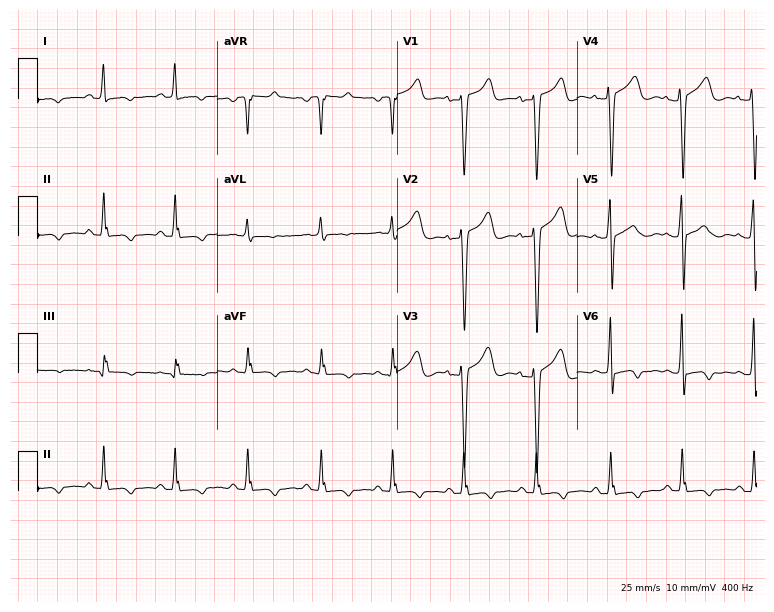
Standard 12-lead ECG recorded from a female, 43 years old (7.3-second recording at 400 Hz). None of these six findings is recorded: first-degree AV block, right bundle branch block, left bundle branch block, sinus bradycardia, atrial fibrillation, sinus tachycardia.